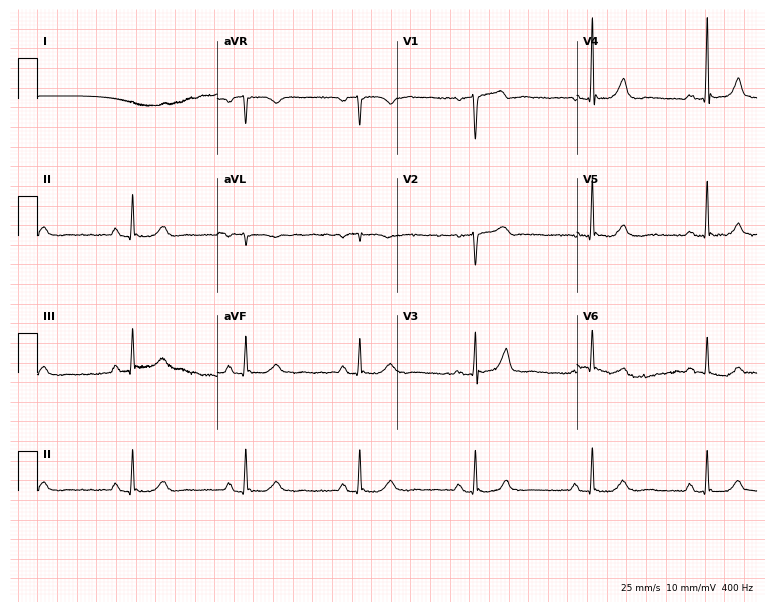
ECG — a man, 66 years old. Labelled as a normal ECG.